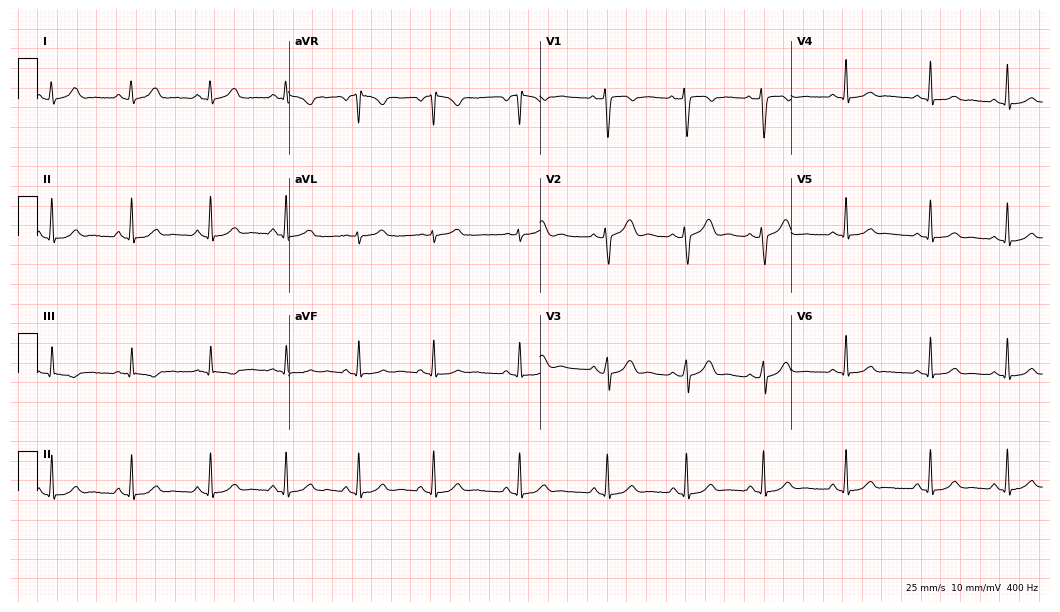
Electrocardiogram (10.2-second recording at 400 Hz), a female patient, 28 years old. Overall reading on record: normal ECG.